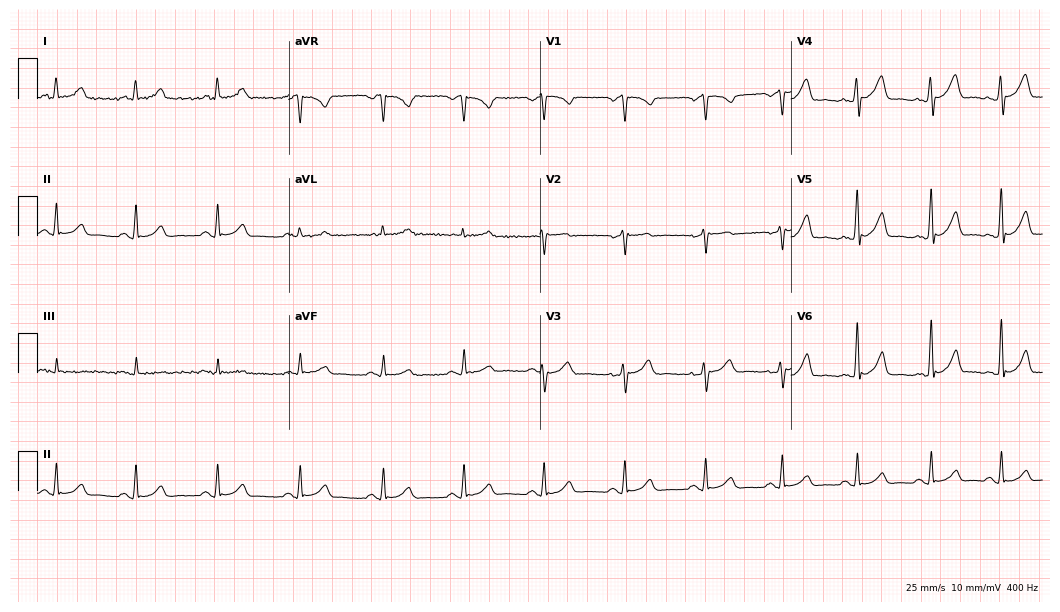
ECG — a 50-year-old man. Labelled as a normal ECG.